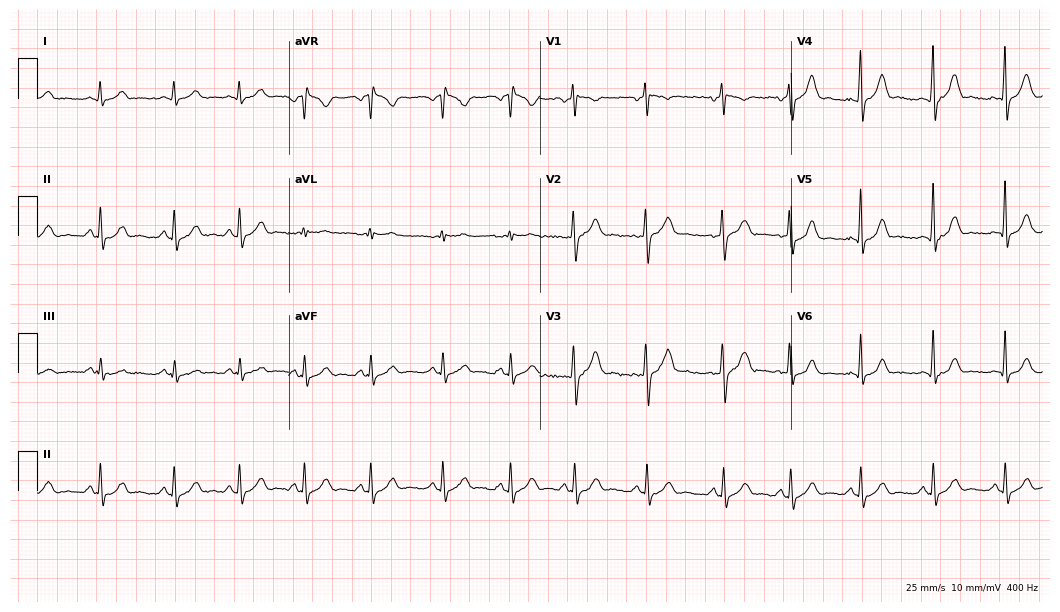
12-lead ECG from a 26-year-old man. Recorded interpretation: within normal limits.